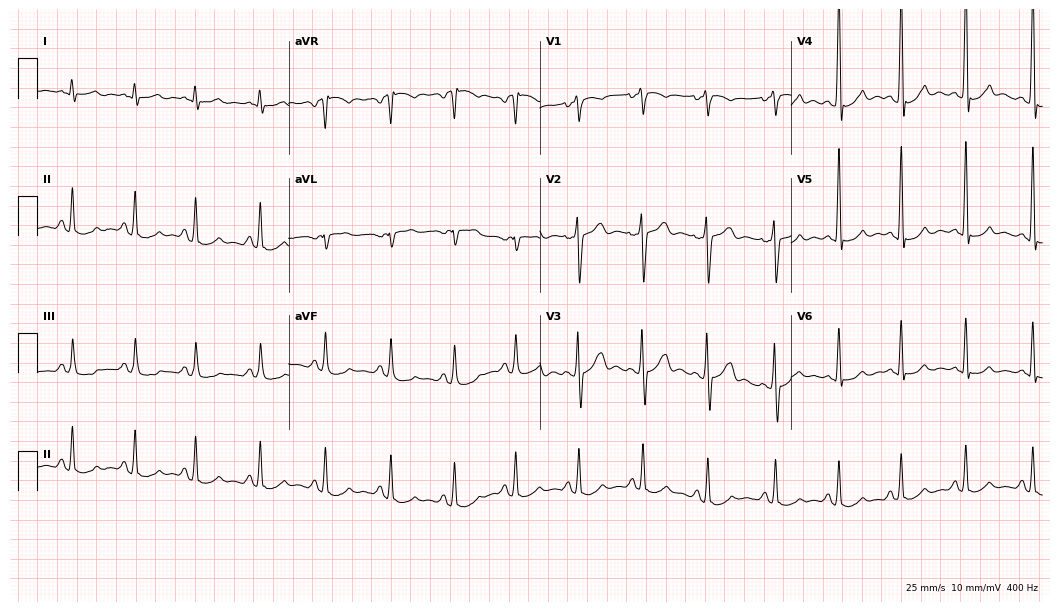
Electrocardiogram (10.2-second recording at 400 Hz), a woman, 22 years old. Of the six screened findings (first-degree AV block, right bundle branch block, left bundle branch block, sinus bradycardia, atrial fibrillation, sinus tachycardia), none is recorded. Findings outside these six are not listed.